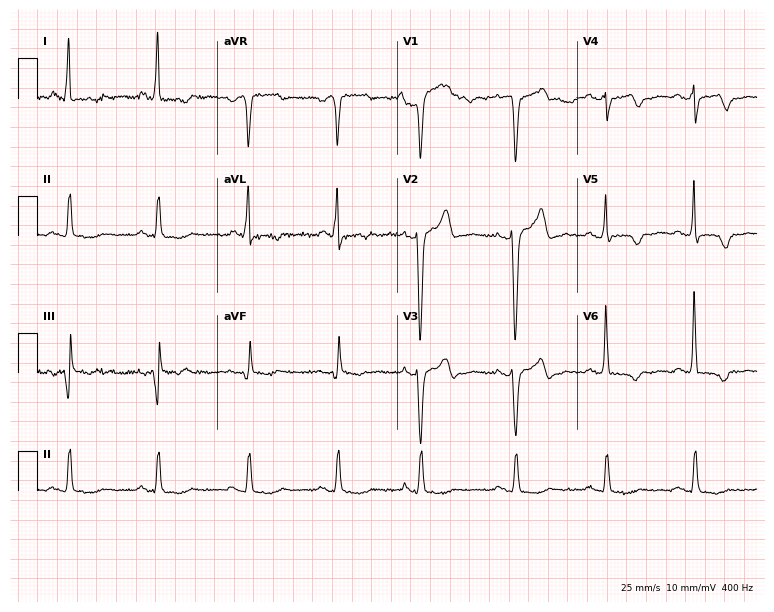
Standard 12-lead ECG recorded from a female patient, 49 years old. None of these six findings is recorded: first-degree AV block, right bundle branch block, left bundle branch block, sinus bradycardia, atrial fibrillation, sinus tachycardia. Only these six findings were labelled.